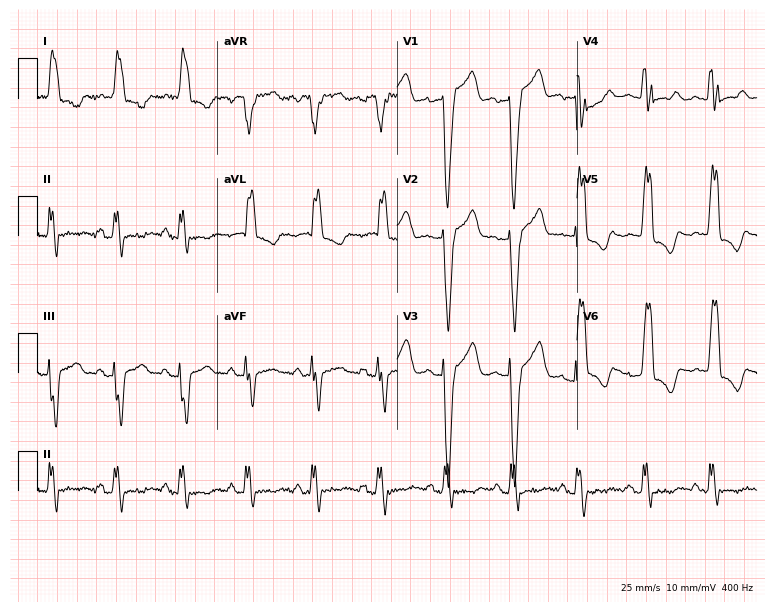
ECG — a 72-year-old female. Findings include left bundle branch block (LBBB).